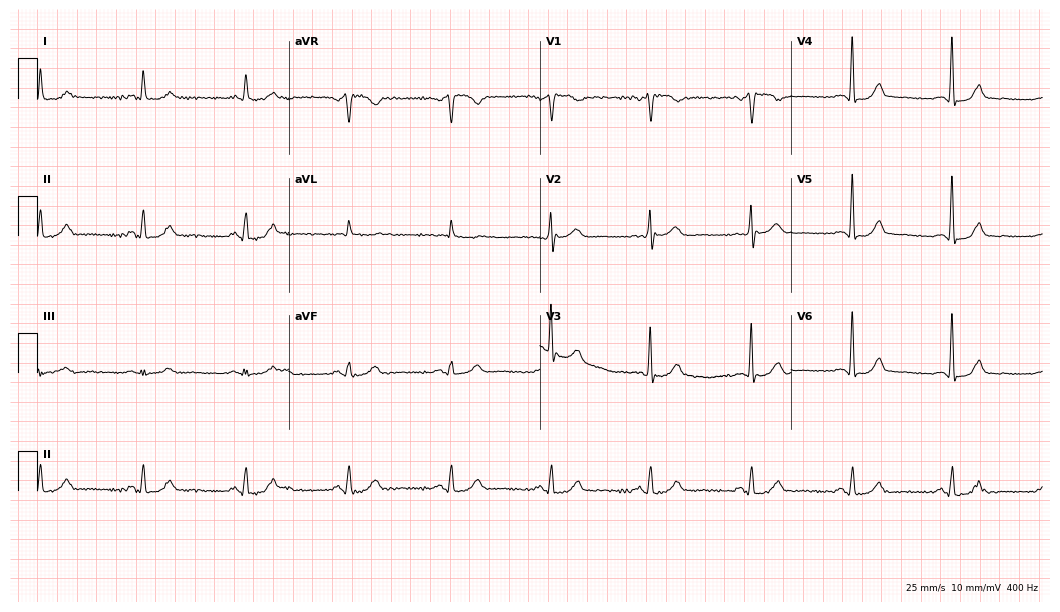
Electrocardiogram (10.2-second recording at 400 Hz), a male, 69 years old. Overall reading on record: normal ECG.